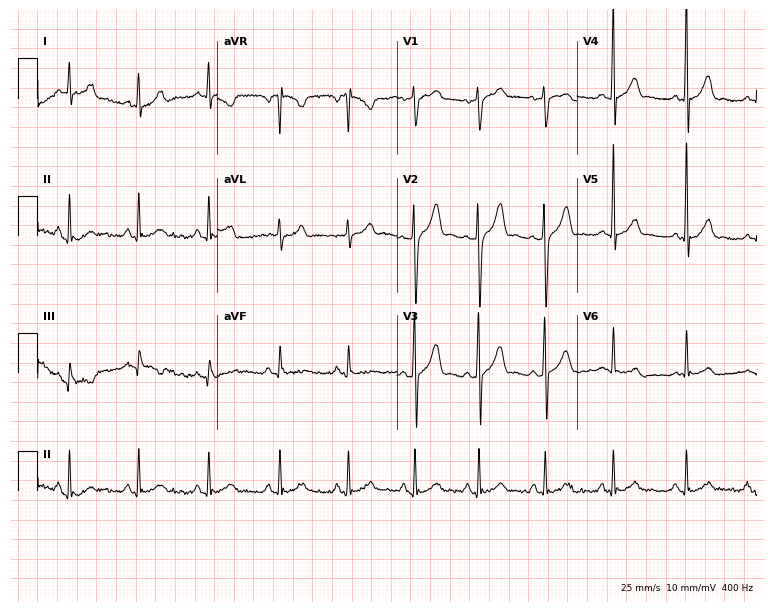
Standard 12-lead ECG recorded from a 24-year-old man. None of these six findings is recorded: first-degree AV block, right bundle branch block, left bundle branch block, sinus bradycardia, atrial fibrillation, sinus tachycardia.